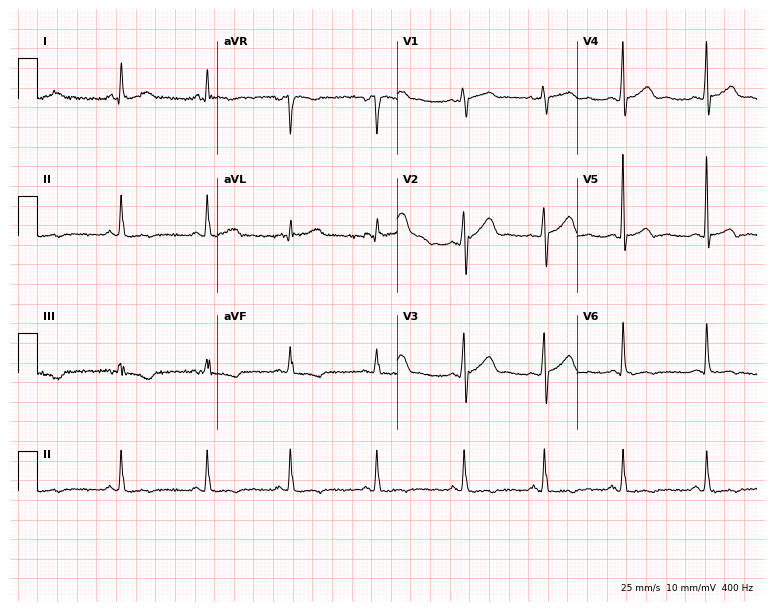
12-lead ECG from a 41-year-old female patient. No first-degree AV block, right bundle branch block, left bundle branch block, sinus bradycardia, atrial fibrillation or sinus tachycardia recorded for this tracing.